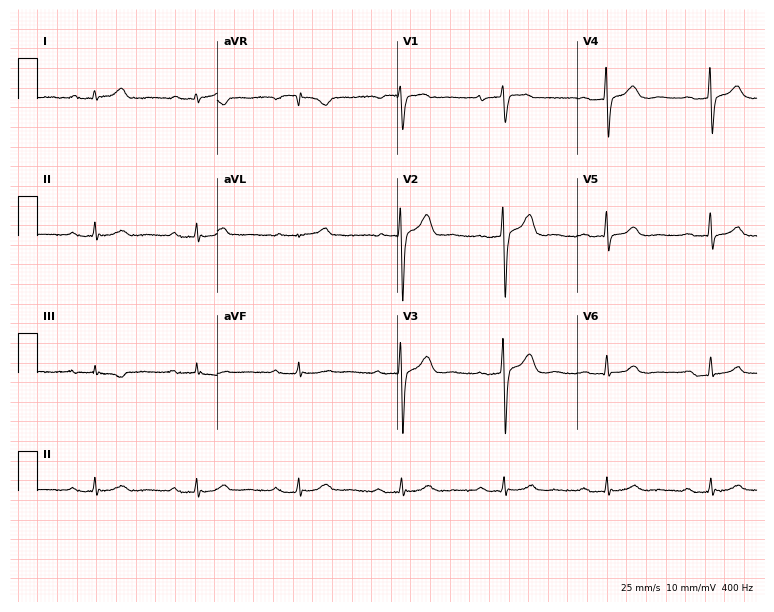
Resting 12-lead electrocardiogram. Patient: a 66-year-old male. The tracing shows first-degree AV block.